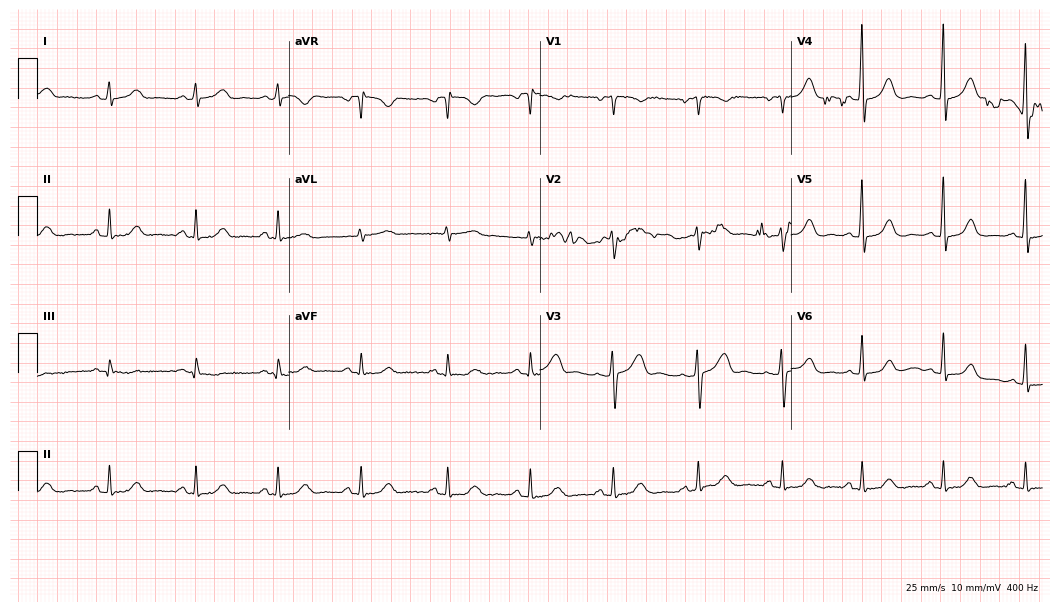
Electrocardiogram, a 32-year-old female patient. Of the six screened findings (first-degree AV block, right bundle branch block, left bundle branch block, sinus bradycardia, atrial fibrillation, sinus tachycardia), none is recorded.